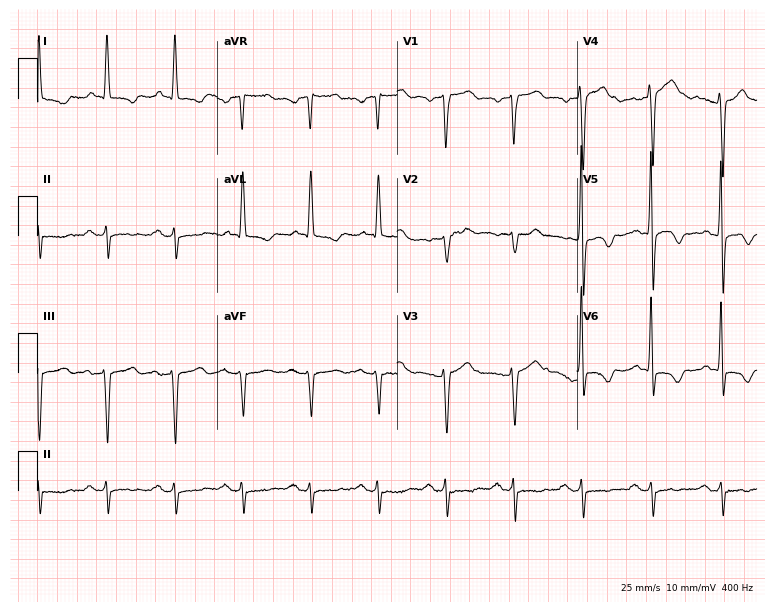
12-lead ECG from a male patient, 73 years old. Recorded interpretation: within normal limits.